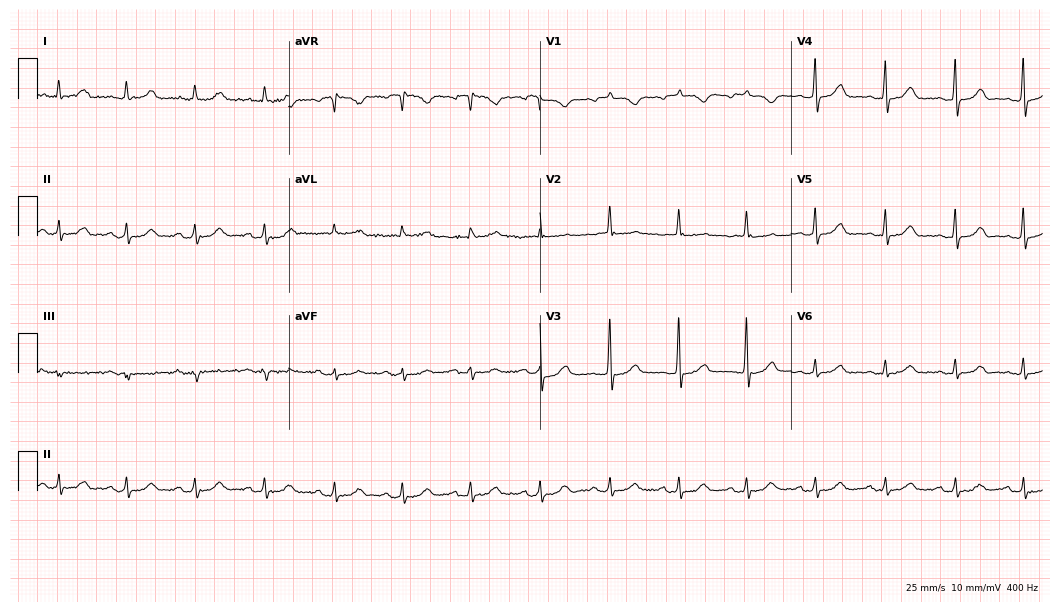
12-lead ECG from an 80-year-old female patient. Recorded interpretation: within normal limits.